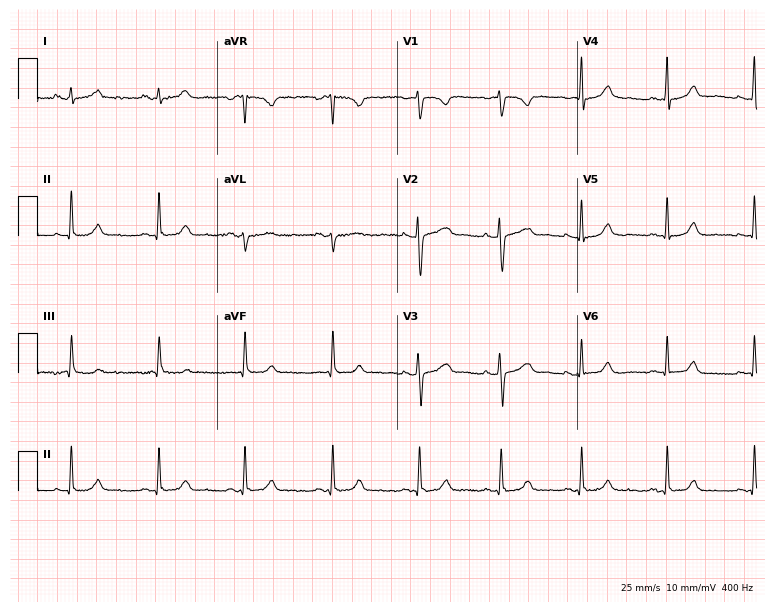
12-lead ECG from a 29-year-old female patient. Recorded interpretation: within normal limits.